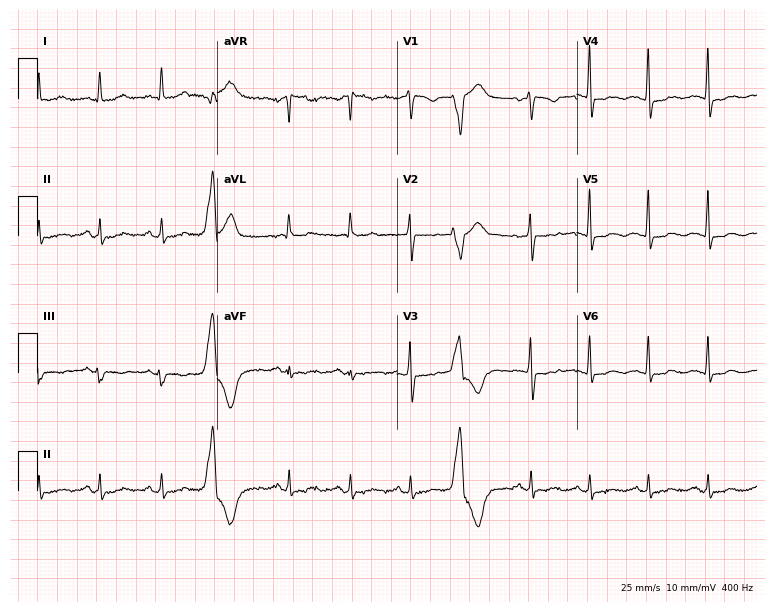
Standard 12-lead ECG recorded from a female, 48 years old. None of these six findings is recorded: first-degree AV block, right bundle branch block (RBBB), left bundle branch block (LBBB), sinus bradycardia, atrial fibrillation (AF), sinus tachycardia.